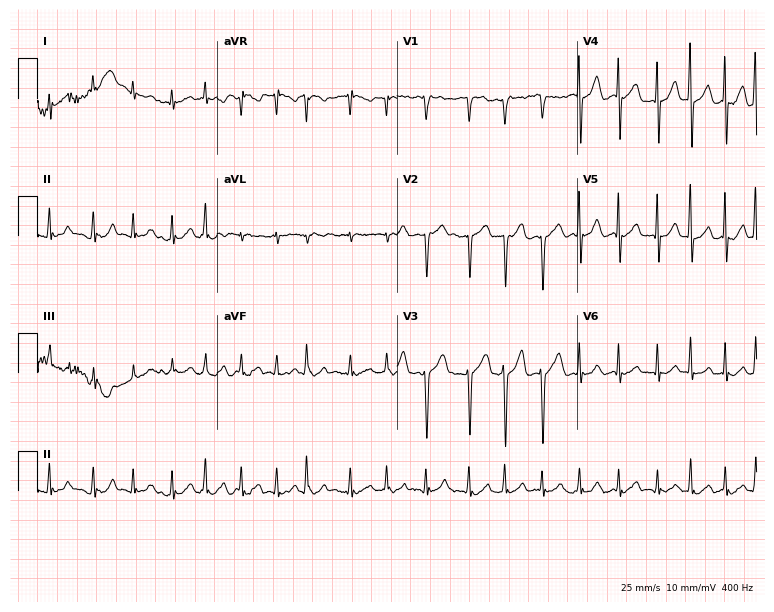
Resting 12-lead electrocardiogram (7.3-second recording at 400 Hz). Patient: a male, 53 years old. The tracing shows sinus tachycardia (a sinus rate of 100 beats per minute or more).